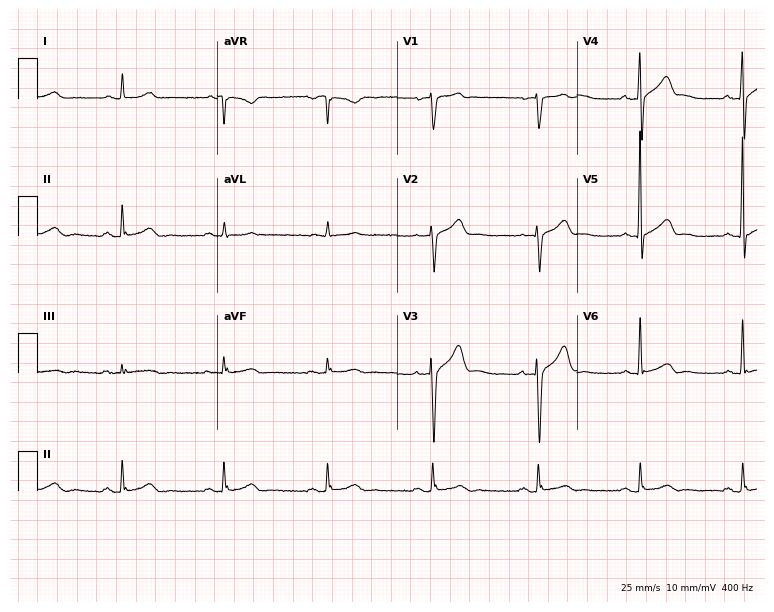
12-lead ECG from a male, 49 years old. Labelled as a normal ECG.